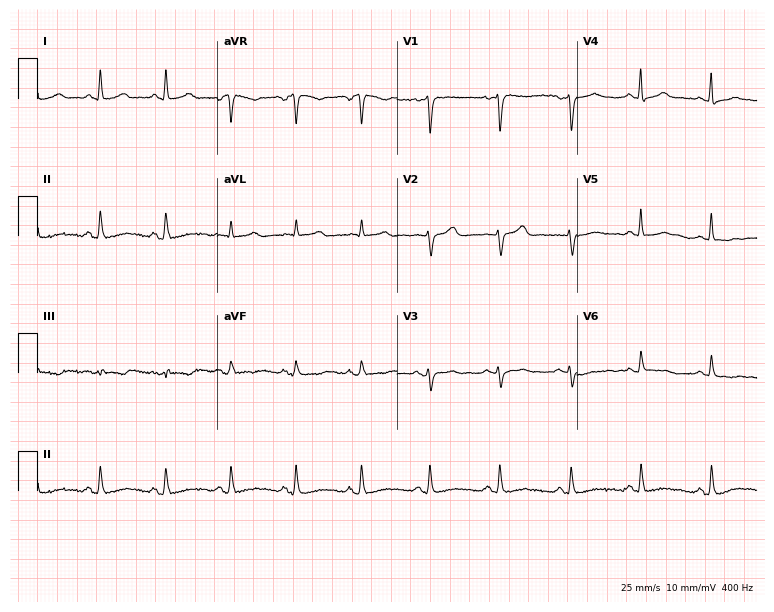
Electrocardiogram (7.3-second recording at 400 Hz), a 45-year-old female. Of the six screened findings (first-degree AV block, right bundle branch block, left bundle branch block, sinus bradycardia, atrial fibrillation, sinus tachycardia), none is recorded.